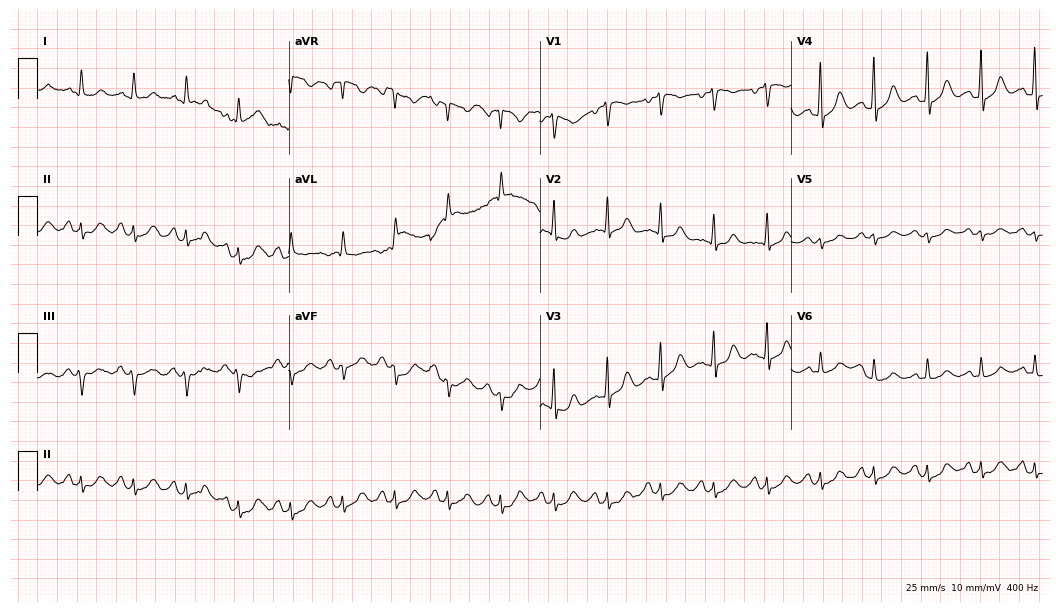
Resting 12-lead electrocardiogram. Patient: a 68-year-old female. None of these six findings is recorded: first-degree AV block, right bundle branch block, left bundle branch block, sinus bradycardia, atrial fibrillation, sinus tachycardia.